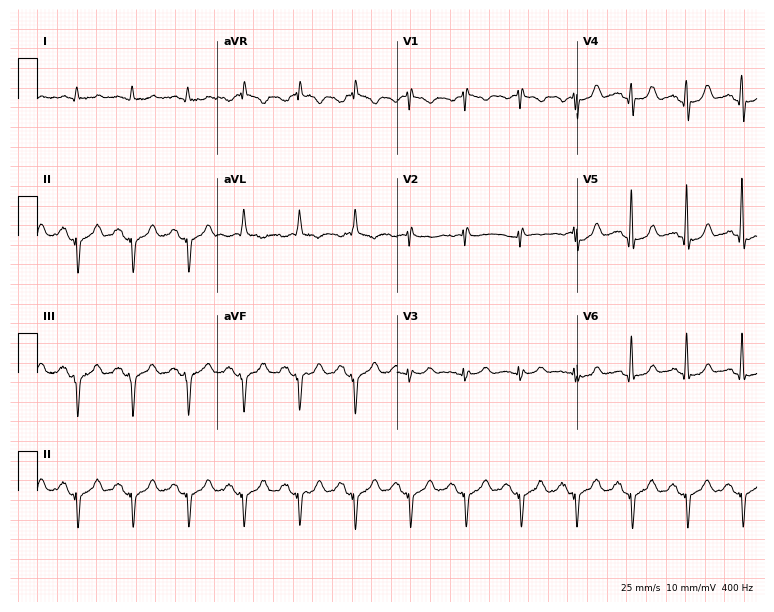
Standard 12-lead ECG recorded from a 72-year-old male patient (7.3-second recording at 400 Hz). None of these six findings is recorded: first-degree AV block, right bundle branch block (RBBB), left bundle branch block (LBBB), sinus bradycardia, atrial fibrillation (AF), sinus tachycardia. Only these six findings were labelled.